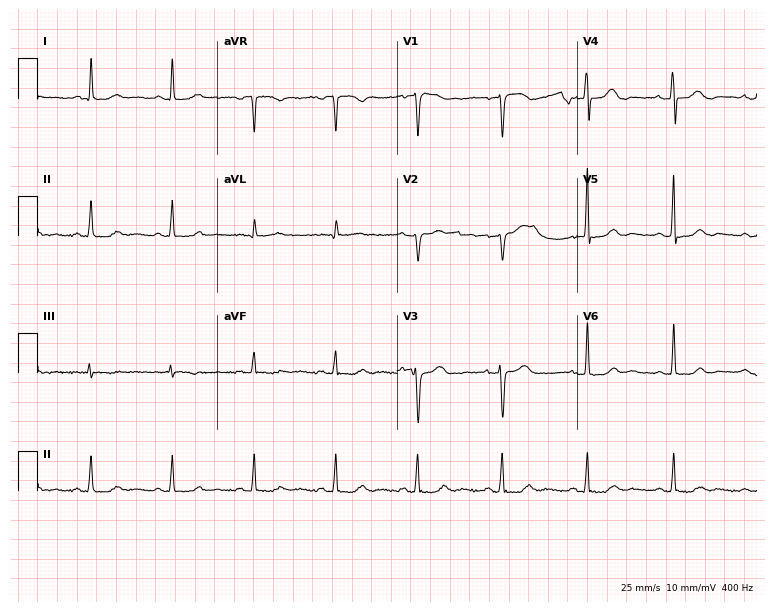
Resting 12-lead electrocardiogram. Patient: a 45-year-old woman. None of these six findings is recorded: first-degree AV block, right bundle branch block (RBBB), left bundle branch block (LBBB), sinus bradycardia, atrial fibrillation (AF), sinus tachycardia. Findings outside these six are not listed.